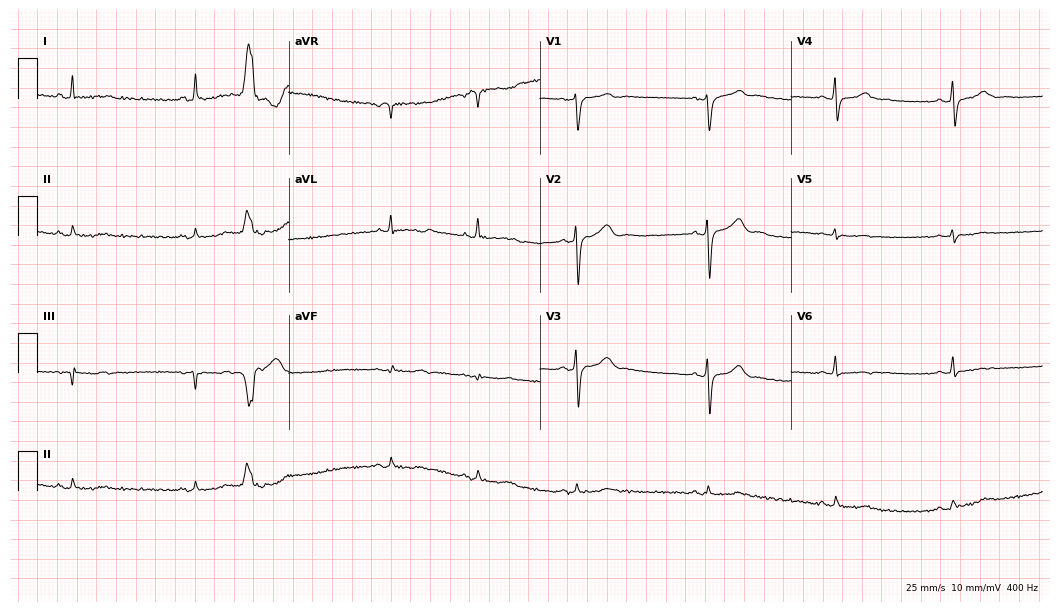
ECG (10.2-second recording at 400 Hz) — a 57-year-old woman. Screened for six findings — first-degree AV block, right bundle branch block, left bundle branch block, sinus bradycardia, atrial fibrillation, sinus tachycardia — none is recorded. Other findings, if any, are not listed.